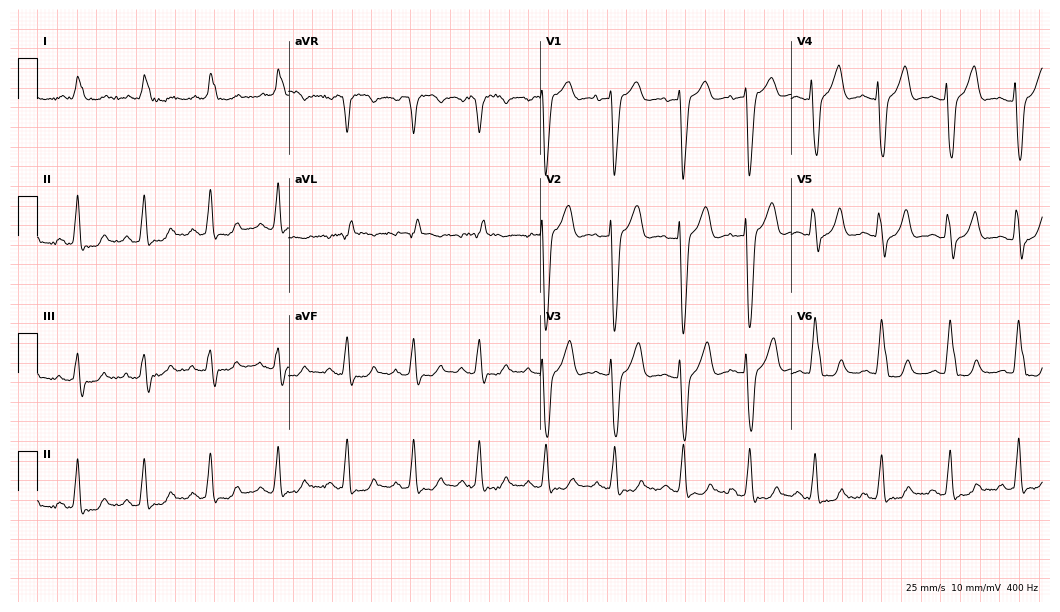
12-lead ECG from an 84-year-old female patient. Findings include left bundle branch block.